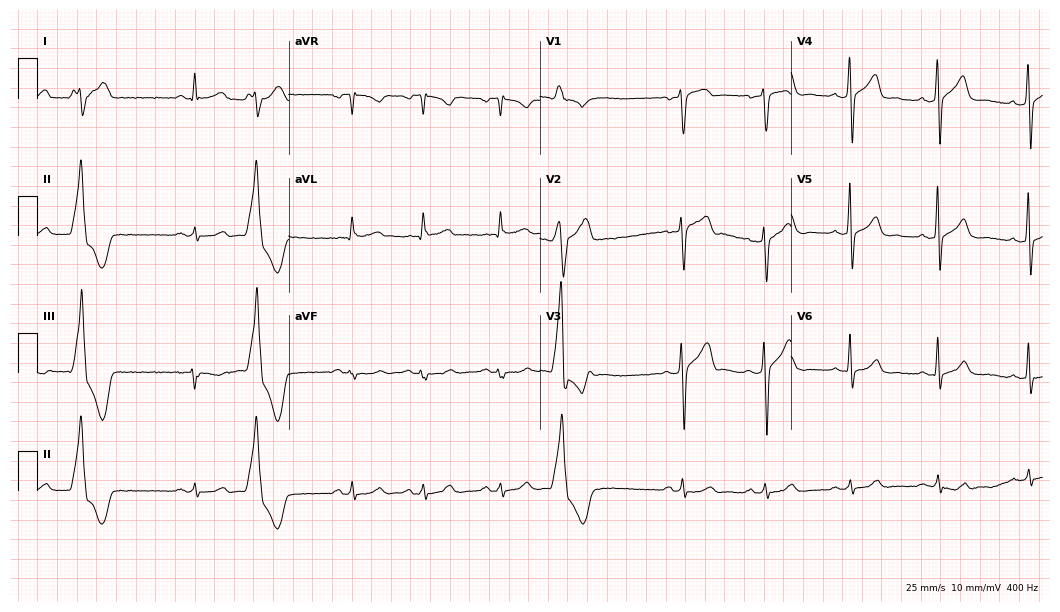
ECG — a 46-year-old male patient. Screened for six findings — first-degree AV block, right bundle branch block, left bundle branch block, sinus bradycardia, atrial fibrillation, sinus tachycardia — none is recorded.